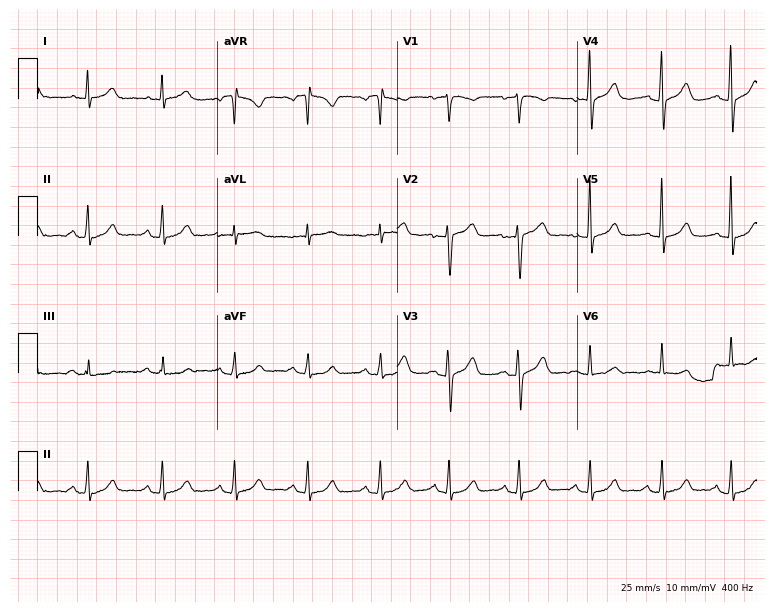
Standard 12-lead ECG recorded from a woman, 76 years old (7.3-second recording at 400 Hz). Read as a normal ECG.